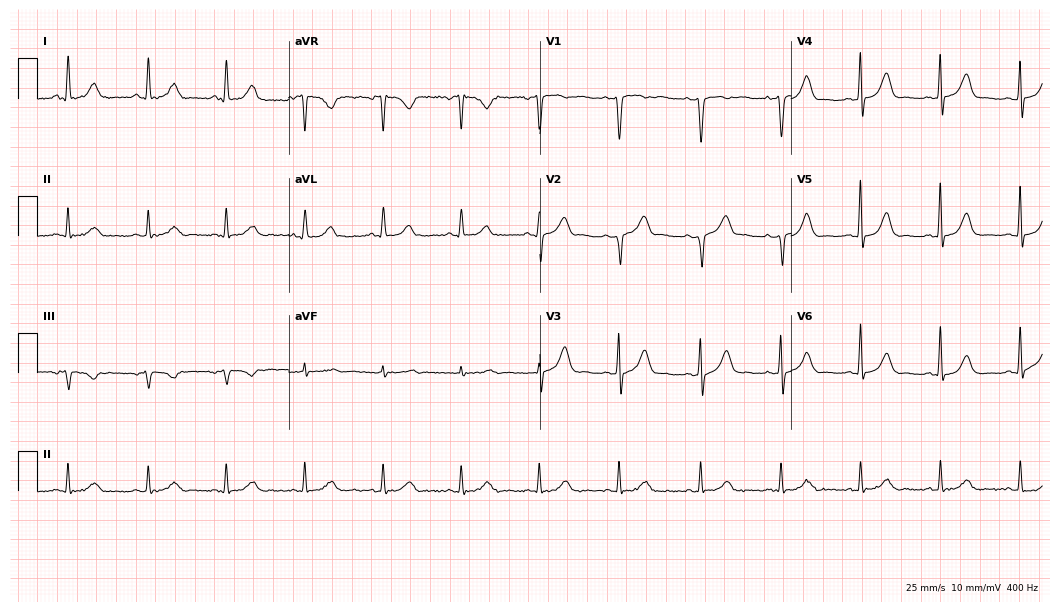
12-lead ECG from a 48-year-old female. Labelled as a normal ECG.